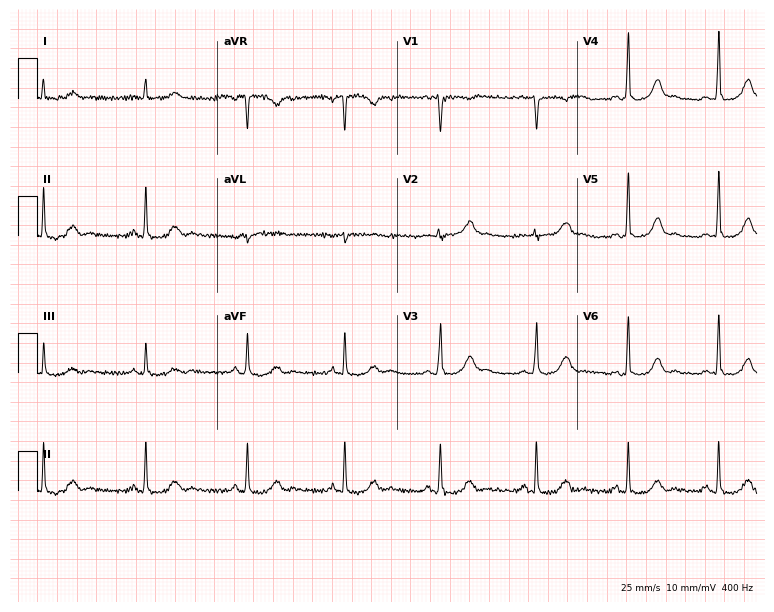
12-lead ECG from a female, 28 years old. Labelled as a normal ECG.